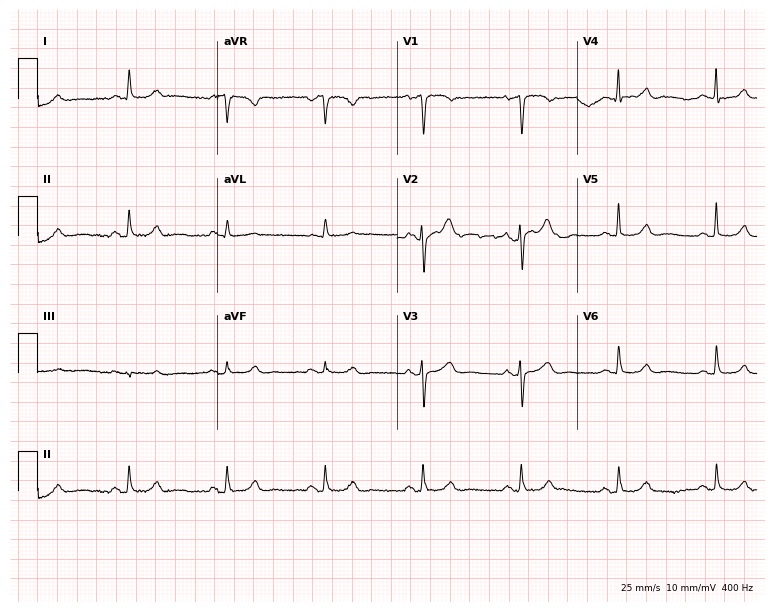
12-lead ECG (7.3-second recording at 400 Hz) from a 70-year-old woman. Labelled as a normal ECG.